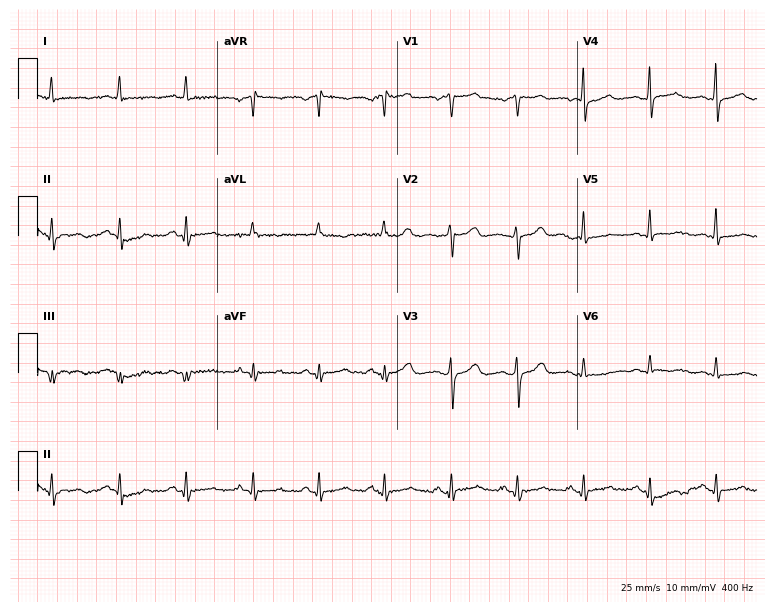
Electrocardiogram, a female patient, 60 years old. Of the six screened findings (first-degree AV block, right bundle branch block (RBBB), left bundle branch block (LBBB), sinus bradycardia, atrial fibrillation (AF), sinus tachycardia), none is recorded.